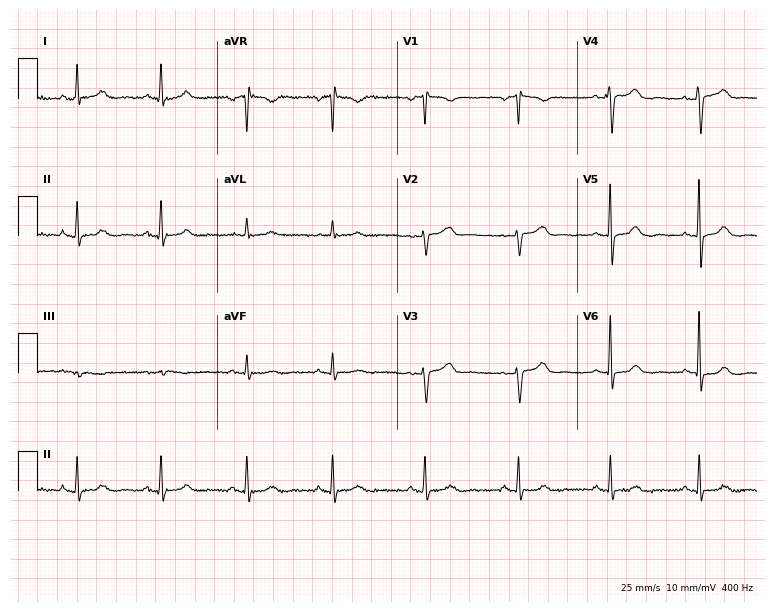
12-lead ECG from a female, 73 years old. Labelled as a normal ECG.